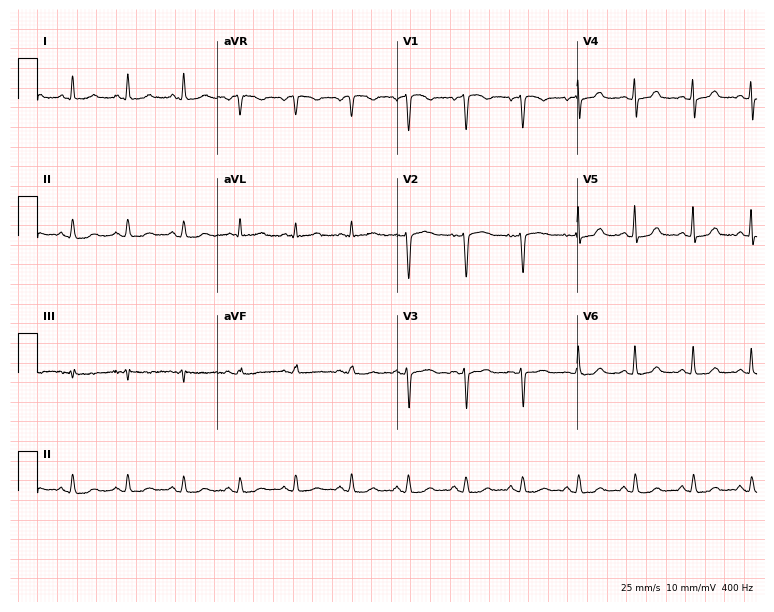
12-lead ECG from a 63-year-old woman (7.3-second recording at 400 Hz). No first-degree AV block, right bundle branch block, left bundle branch block, sinus bradycardia, atrial fibrillation or sinus tachycardia recorded for this tracing. Only these six findings were labelled.